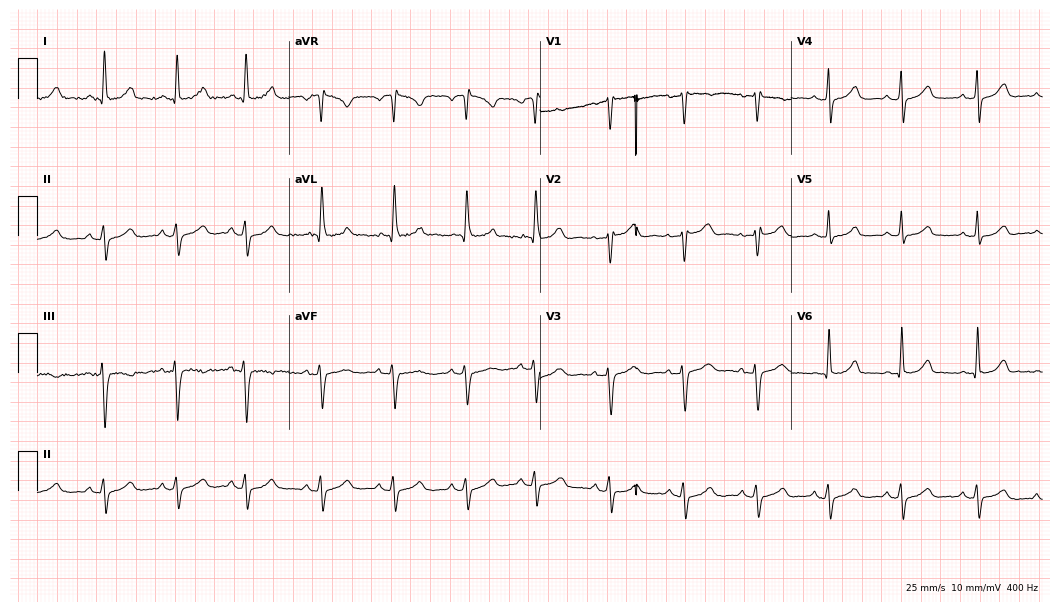
Electrocardiogram (10.2-second recording at 400 Hz), a woman, 54 years old. Of the six screened findings (first-degree AV block, right bundle branch block, left bundle branch block, sinus bradycardia, atrial fibrillation, sinus tachycardia), none is recorded. Only these six findings were labelled.